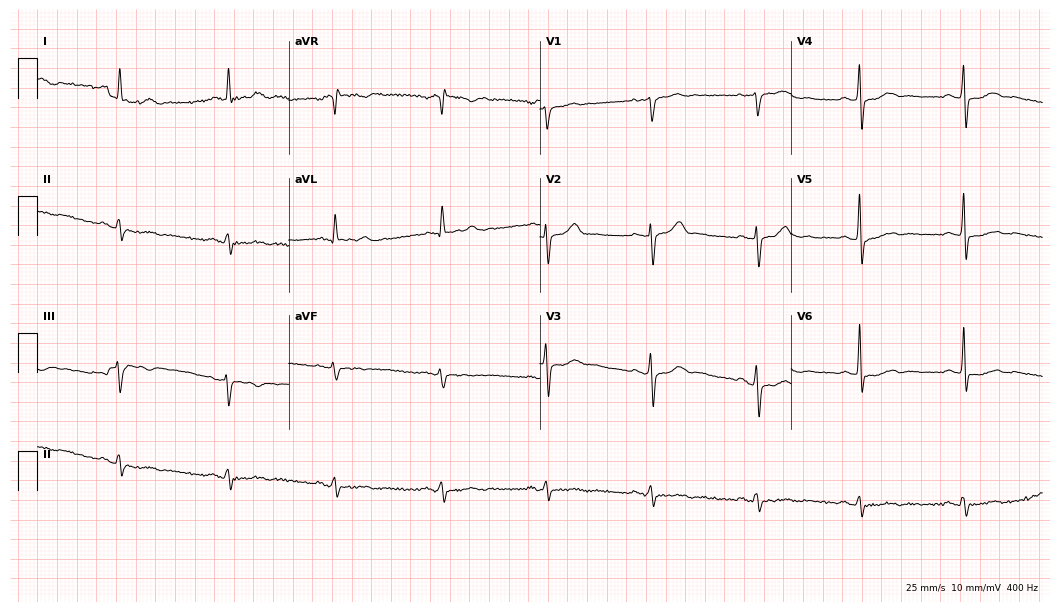
Resting 12-lead electrocardiogram. Patient: a man, 73 years old. None of these six findings is recorded: first-degree AV block, right bundle branch block, left bundle branch block, sinus bradycardia, atrial fibrillation, sinus tachycardia.